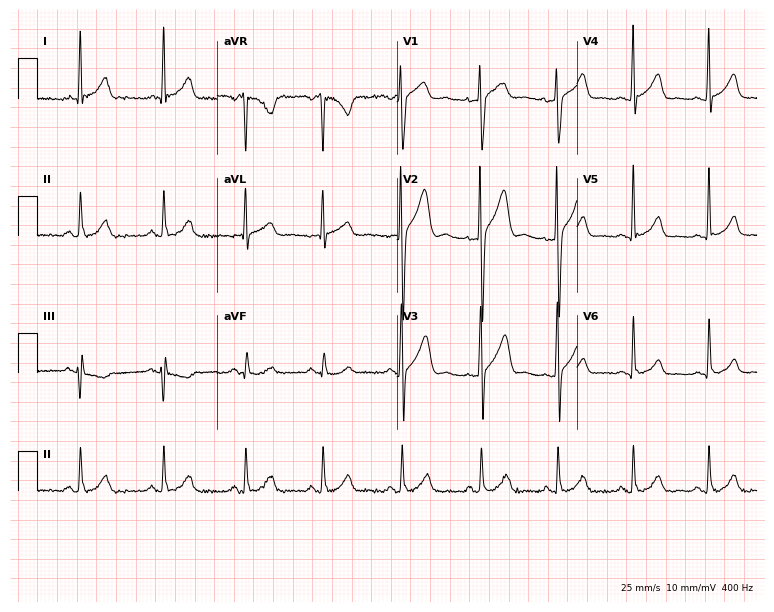
Standard 12-lead ECG recorded from a male, 28 years old. Read as a normal ECG.